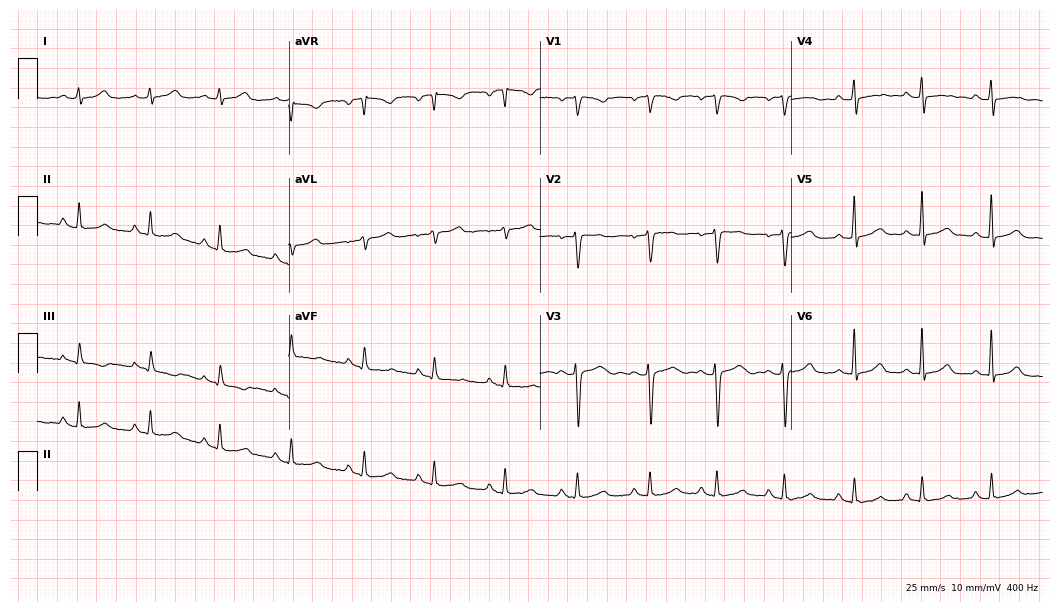
12-lead ECG from a female patient, 24 years old (10.2-second recording at 400 Hz). Recorded interpretation: within normal limits.